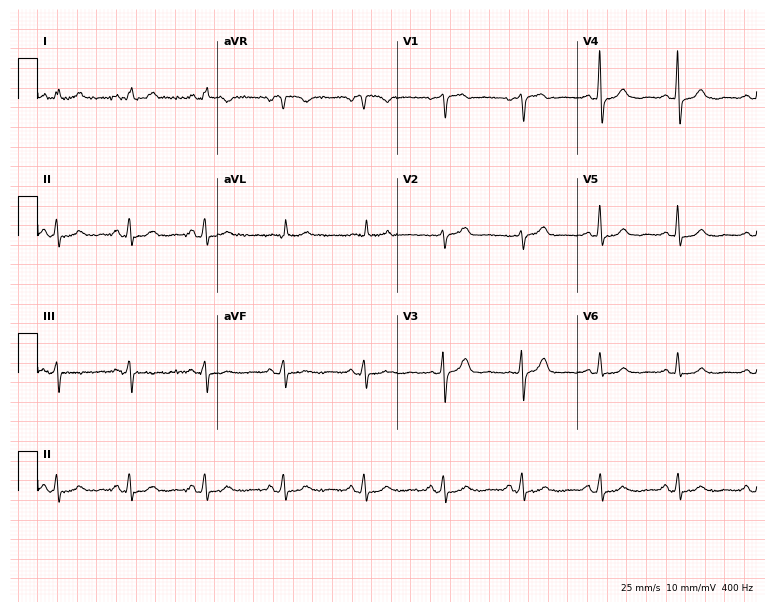
ECG — a female, 54 years old. Screened for six findings — first-degree AV block, right bundle branch block, left bundle branch block, sinus bradycardia, atrial fibrillation, sinus tachycardia — none is recorded. Other findings, if any, are not listed.